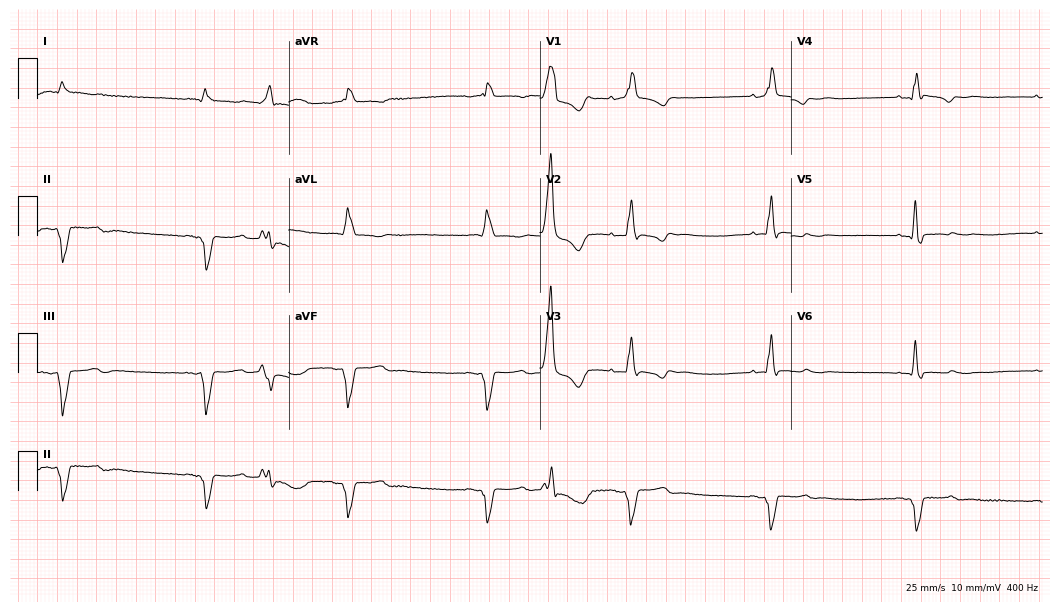
Resting 12-lead electrocardiogram (10.2-second recording at 400 Hz). Patient: a 57-year-old male. None of these six findings is recorded: first-degree AV block, right bundle branch block (RBBB), left bundle branch block (LBBB), sinus bradycardia, atrial fibrillation (AF), sinus tachycardia. Other findings, if any, are not listed.